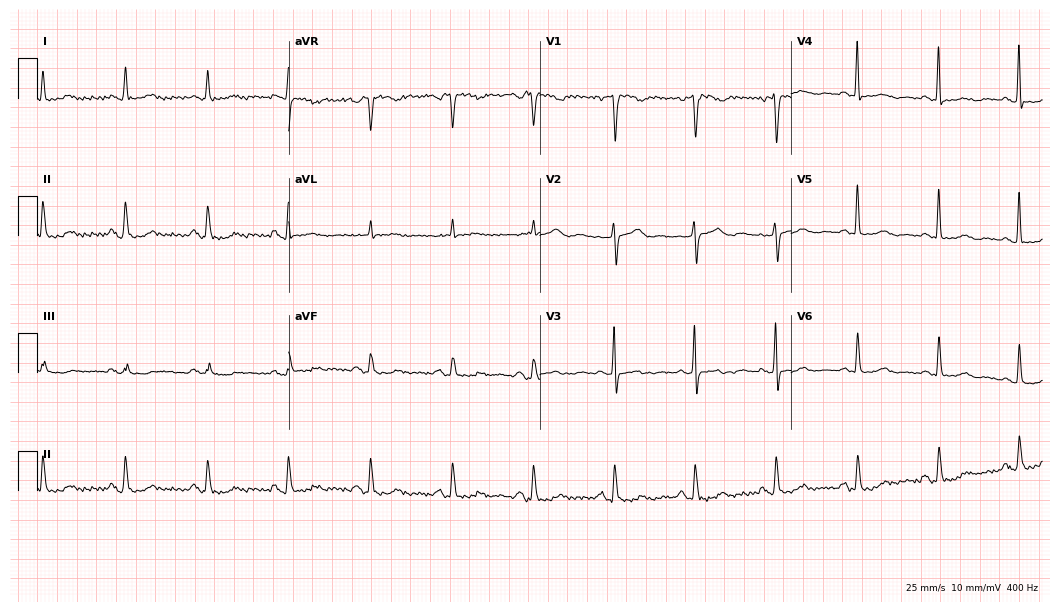
12-lead ECG (10.2-second recording at 400 Hz) from a 74-year-old female patient. Screened for six findings — first-degree AV block, right bundle branch block, left bundle branch block, sinus bradycardia, atrial fibrillation, sinus tachycardia — none is recorded. Only these six findings were labelled.